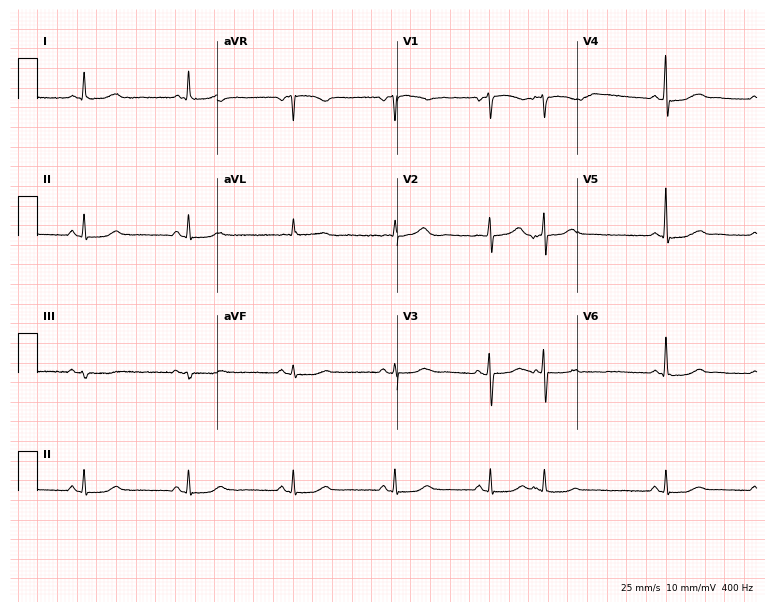
Resting 12-lead electrocardiogram (7.3-second recording at 400 Hz). Patient: a 71-year-old woman. None of these six findings is recorded: first-degree AV block, right bundle branch block, left bundle branch block, sinus bradycardia, atrial fibrillation, sinus tachycardia. Other findings, if any, are not listed.